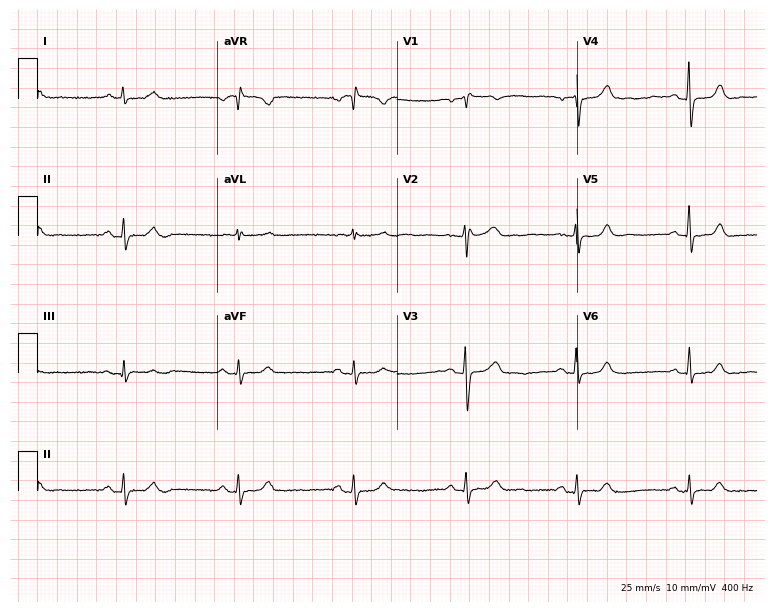
Resting 12-lead electrocardiogram. Patient: a male, 70 years old. Read as a normal ECG.